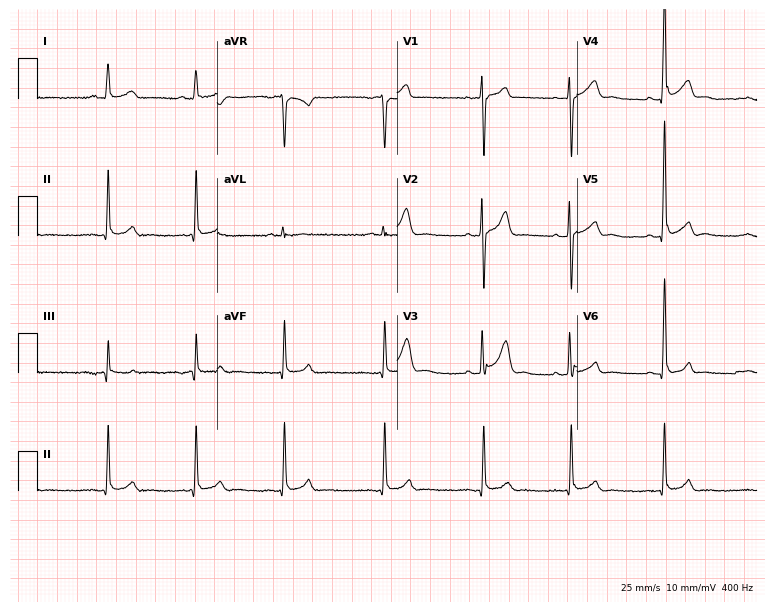
Resting 12-lead electrocardiogram. Patient: a man, 37 years old. Read as a normal ECG.